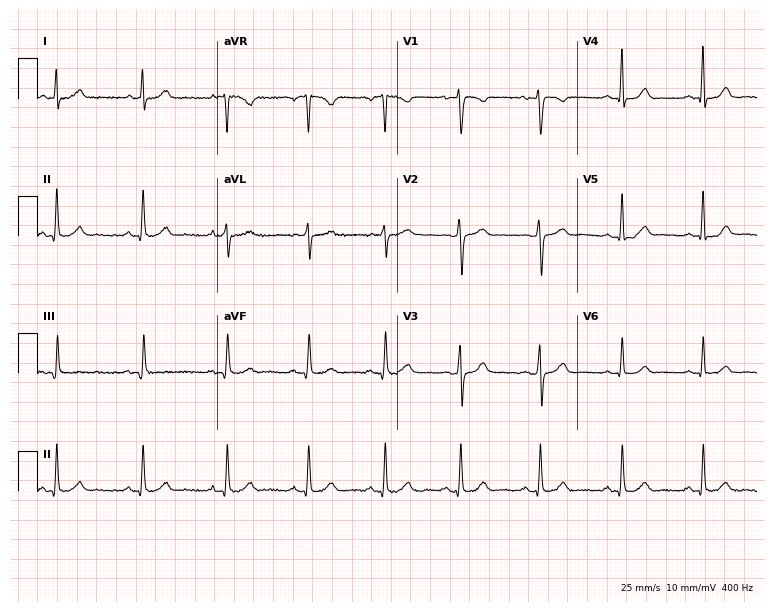
ECG (7.3-second recording at 400 Hz) — a female patient, 30 years old. Screened for six findings — first-degree AV block, right bundle branch block, left bundle branch block, sinus bradycardia, atrial fibrillation, sinus tachycardia — none is recorded. Only these six findings were labelled.